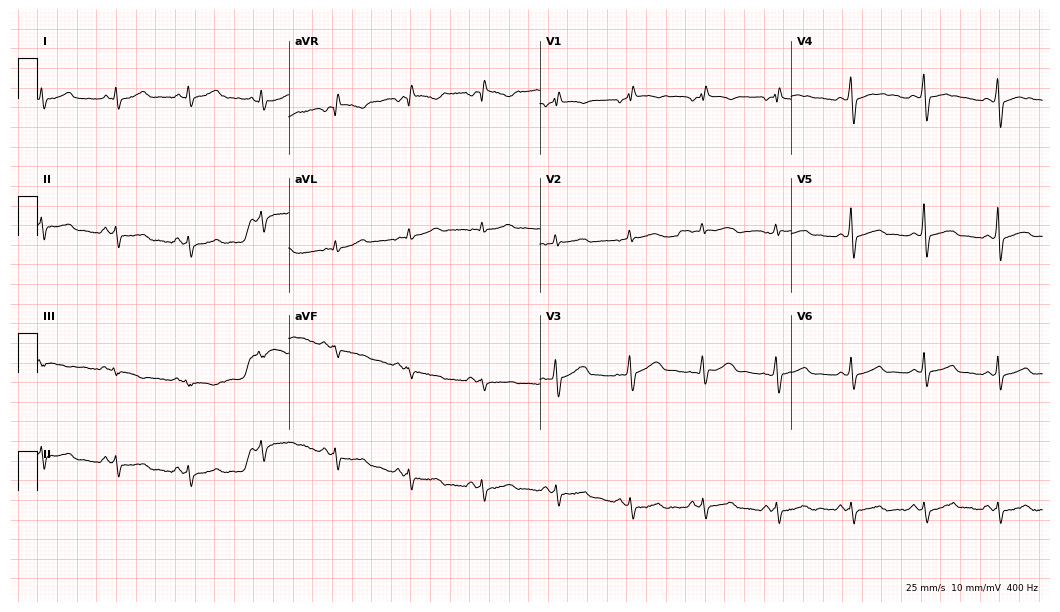
Standard 12-lead ECG recorded from a 53-year-old female (10.2-second recording at 400 Hz). None of these six findings is recorded: first-degree AV block, right bundle branch block, left bundle branch block, sinus bradycardia, atrial fibrillation, sinus tachycardia. Findings outside these six are not listed.